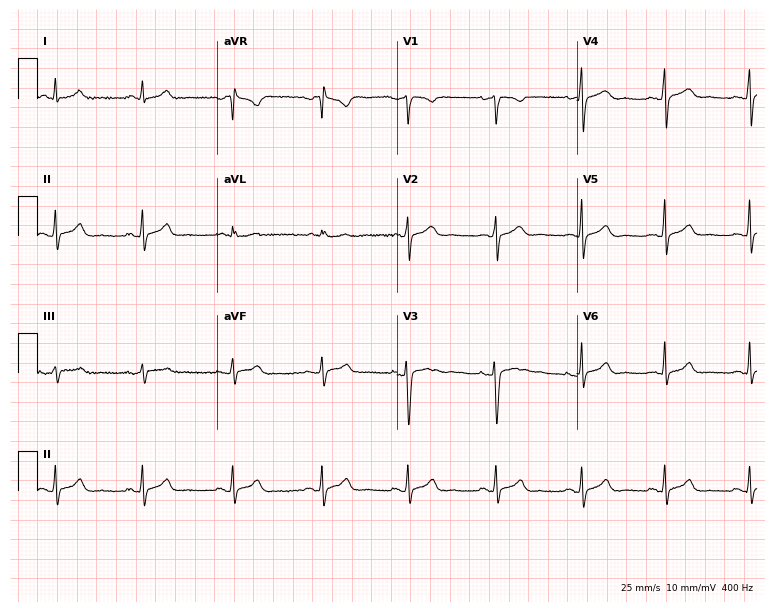
Resting 12-lead electrocardiogram (7.3-second recording at 400 Hz). Patient: a woman, 27 years old. Read as a normal ECG.